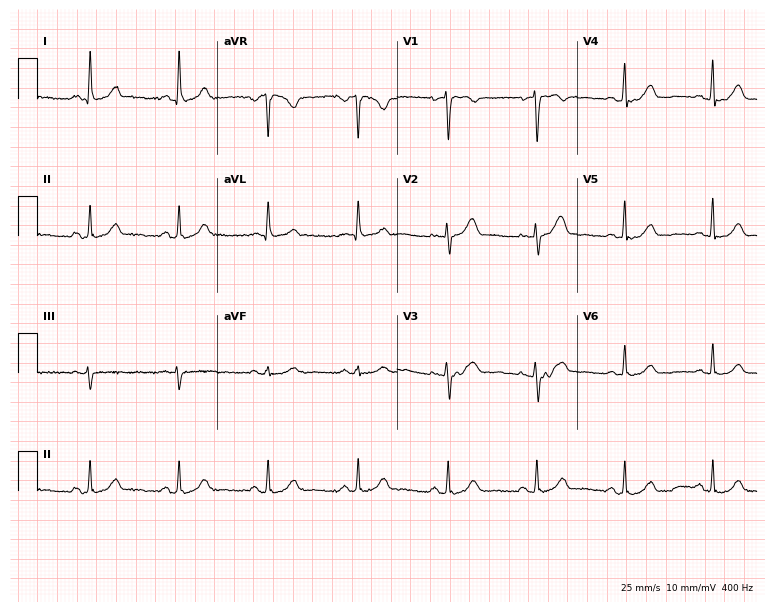
Standard 12-lead ECG recorded from a female patient, 48 years old. Read as a normal ECG.